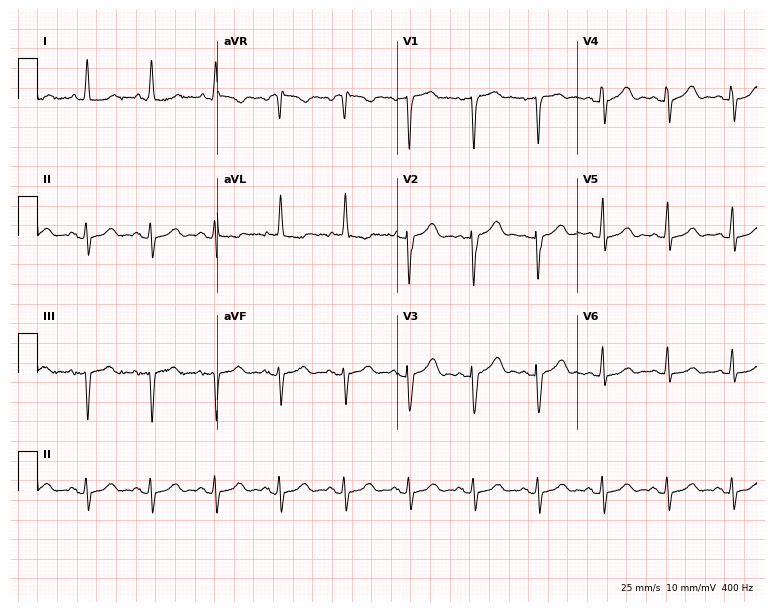
Resting 12-lead electrocardiogram (7.3-second recording at 400 Hz). Patient: a woman, 85 years old. None of these six findings is recorded: first-degree AV block, right bundle branch block, left bundle branch block, sinus bradycardia, atrial fibrillation, sinus tachycardia.